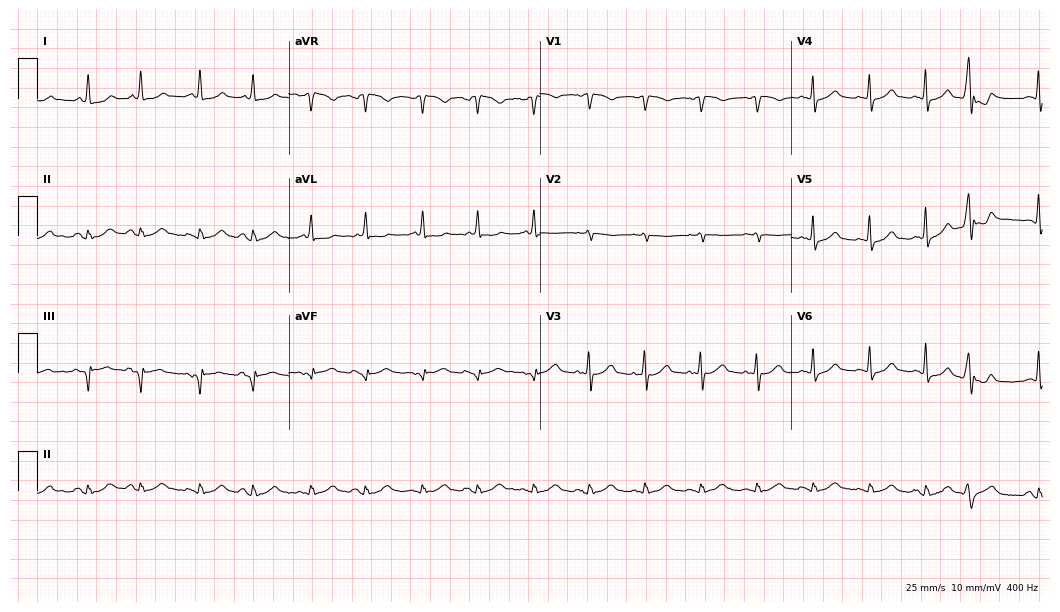
Electrocardiogram (10.2-second recording at 400 Hz), a female patient, 59 years old. Of the six screened findings (first-degree AV block, right bundle branch block (RBBB), left bundle branch block (LBBB), sinus bradycardia, atrial fibrillation (AF), sinus tachycardia), none is recorded.